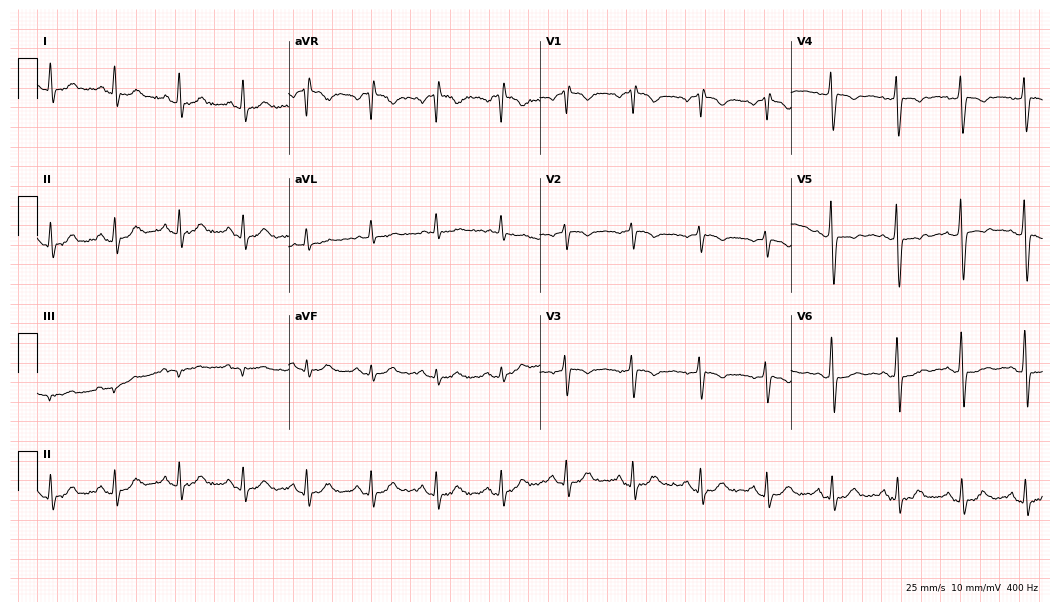
ECG (10.2-second recording at 400 Hz) — a female patient, 60 years old. Screened for six findings — first-degree AV block, right bundle branch block (RBBB), left bundle branch block (LBBB), sinus bradycardia, atrial fibrillation (AF), sinus tachycardia — none is recorded.